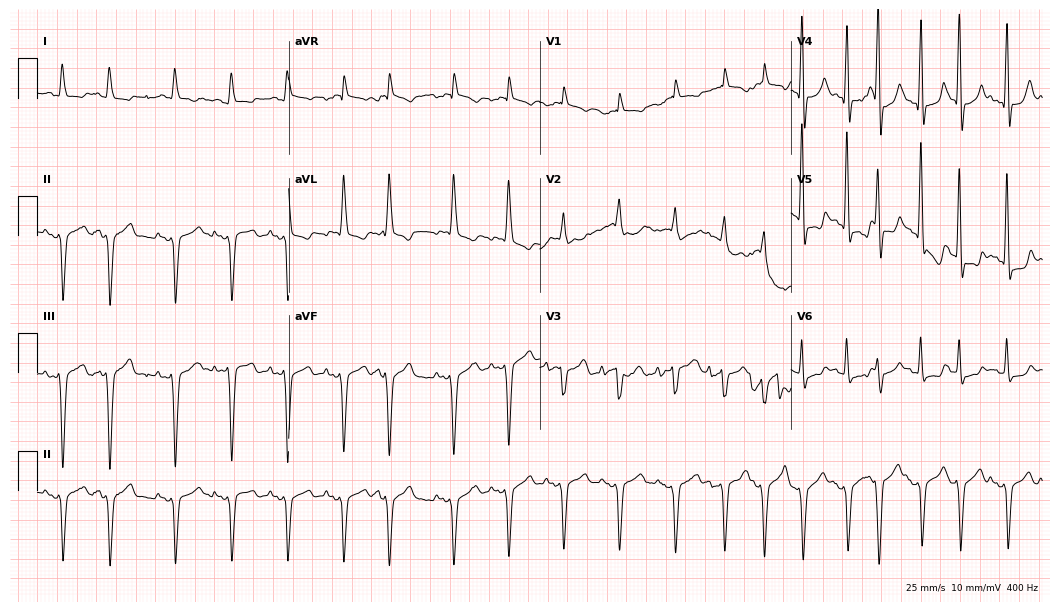
ECG (10.2-second recording at 400 Hz) — a 72-year-old male. Screened for six findings — first-degree AV block, right bundle branch block (RBBB), left bundle branch block (LBBB), sinus bradycardia, atrial fibrillation (AF), sinus tachycardia — none is recorded. Findings outside these six are not listed.